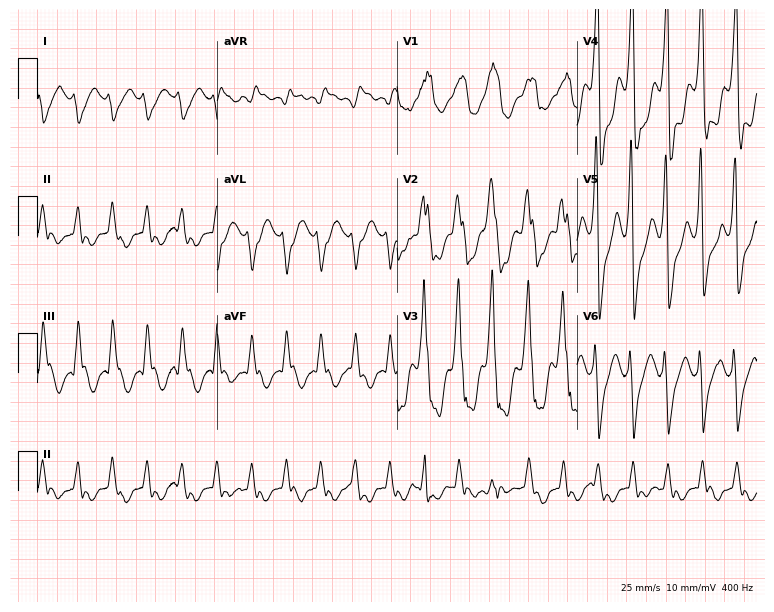
Electrocardiogram, a 73-year-old male patient. Of the six screened findings (first-degree AV block, right bundle branch block (RBBB), left bundle branch block (LBBB), sinus bradycardia, atrial fibrillation (AF), sinus tachycardia), none is recorded.